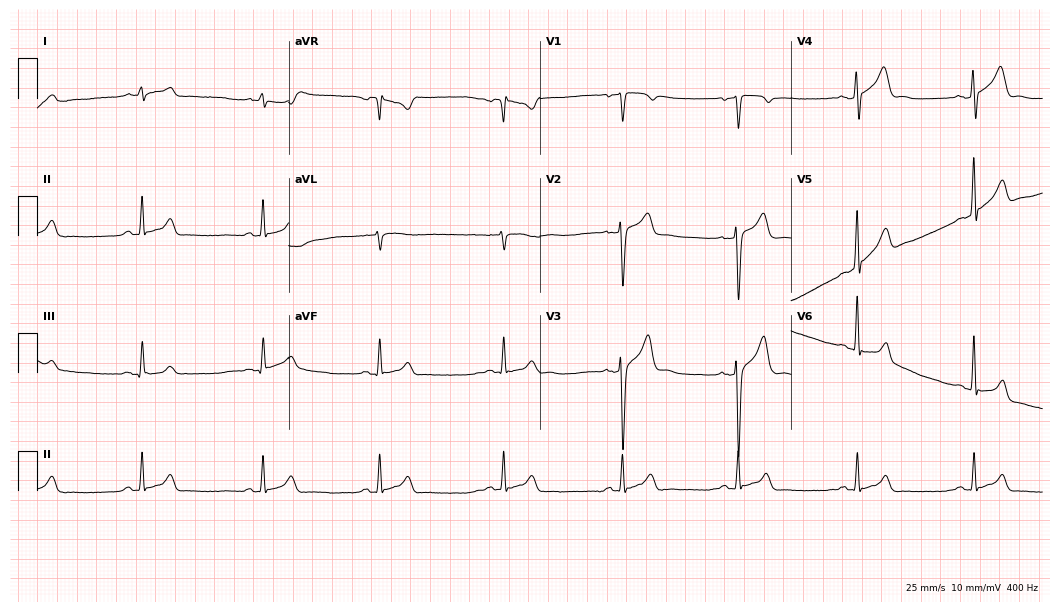
12-lead ECG from a male patient, 38 years old. Shows sinus bradycardia (a sinus rate of 50 beats per minute or less).